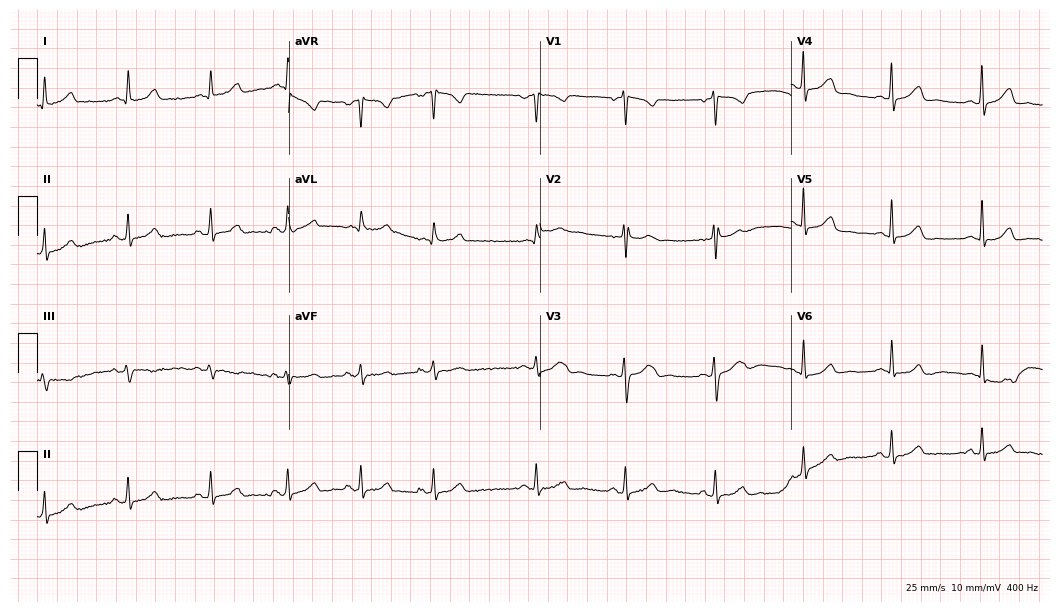
Resting 12-lead electrocardiogram. Patient: a 41-year-old woman. Read as a normal ECG.